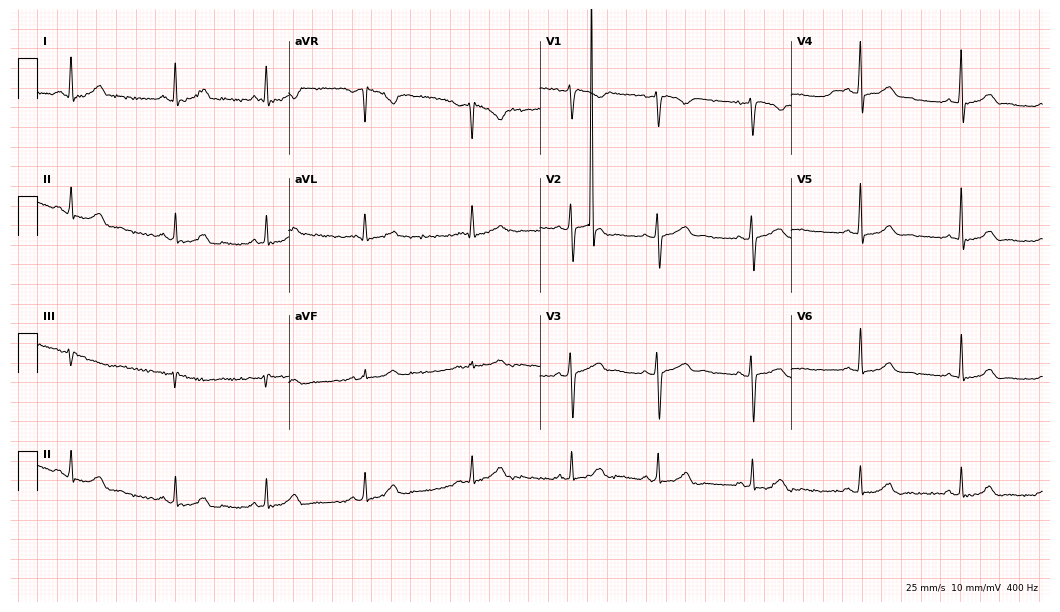
ECG — a 38-year-old female patient. Labelled as a normal ECG.